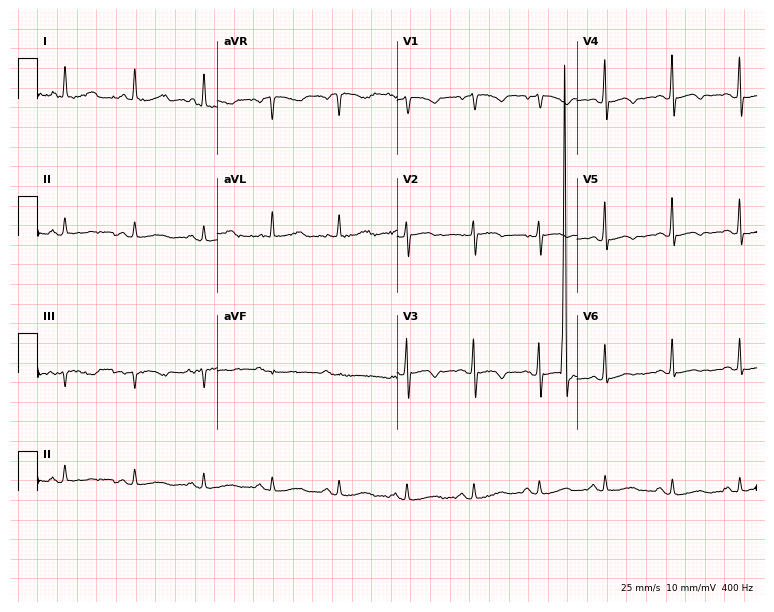
12-lead ECG from a woman, 59 years old (7.3-second recording at 400 Hz). No first-degree AV block, right bundle branch block, left bundle branch block, sinus bradycardia, atrial fibrillation or sinus tachycardia recorded for this tracing.